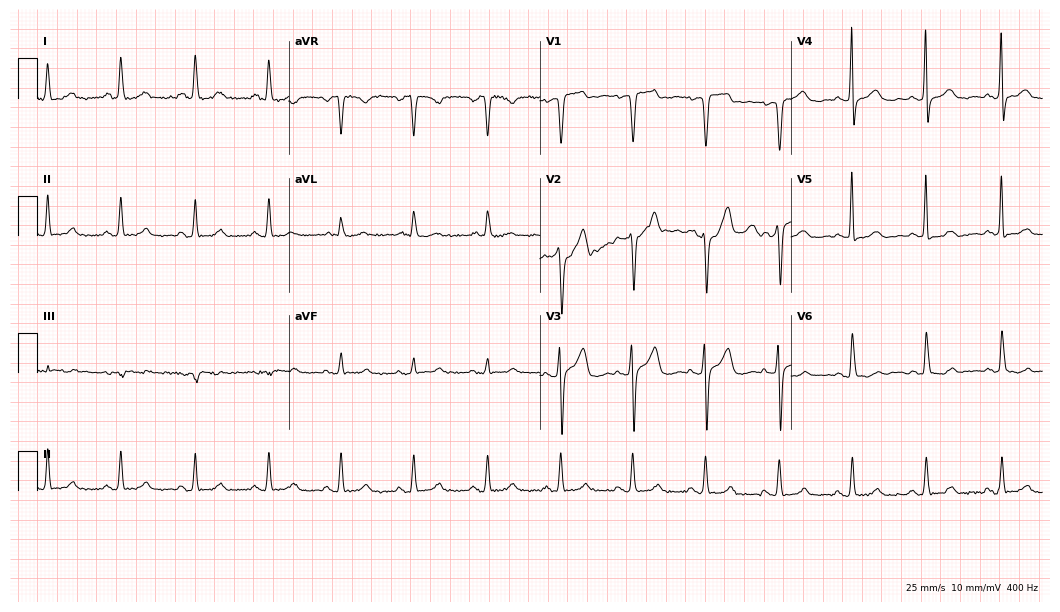
ECG (10.2-second recording at 400 Hz) — a woman, 56 years old. Labelled as a normal ECG.